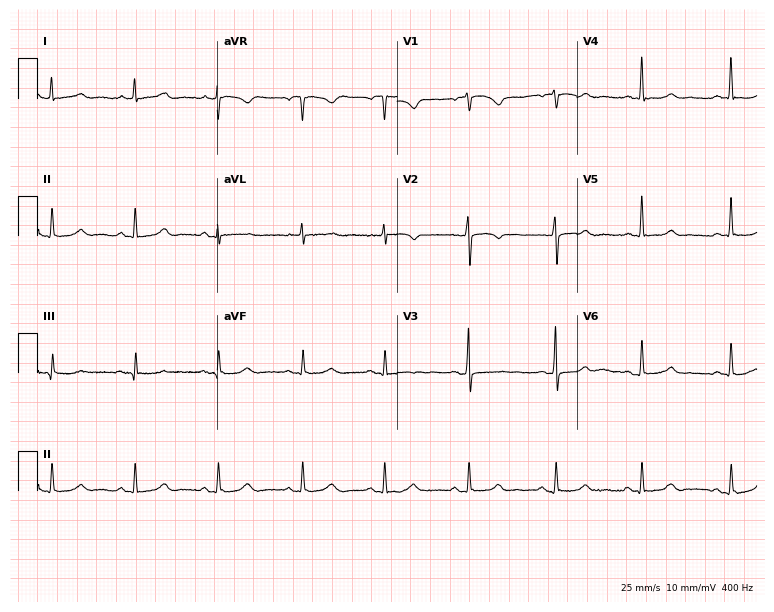
Standard 12-lead ECG recorded from a 51-year-old female patient. None of these six findings is recorded: first-degree AV block, right bundle branch block, left bundle branch block, sinus bradycardia, atrial fibrillation, sinus tachycardia. Only these six findings were labelled.